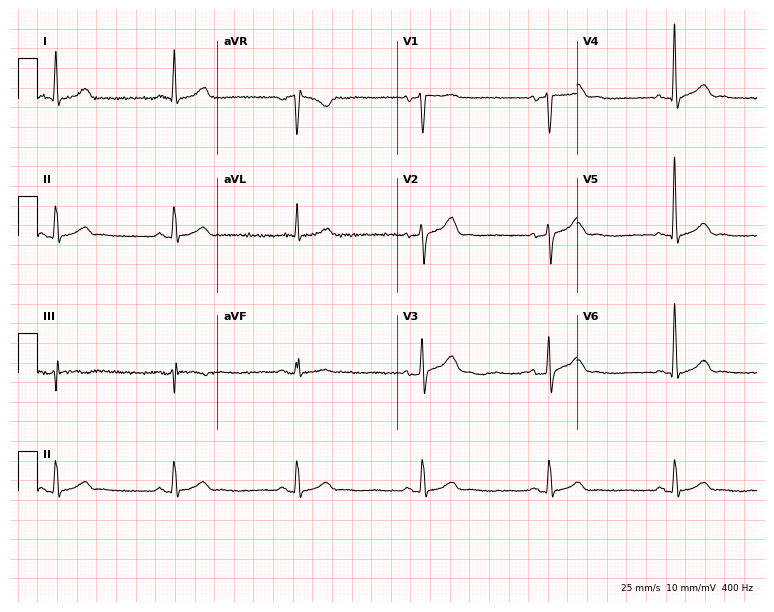
ECG — a male patient, 68 years old. Labelled as a normal ECG.